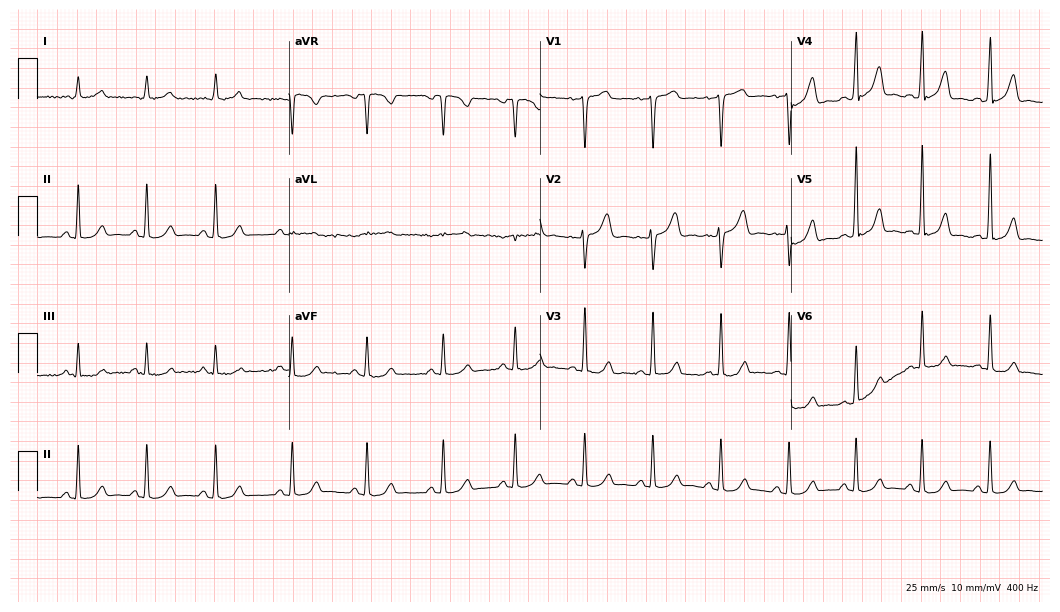
ECG (10.2-second recording at 400 Hz) — a 41-year-old female patient. Labelled as a normal ECG.